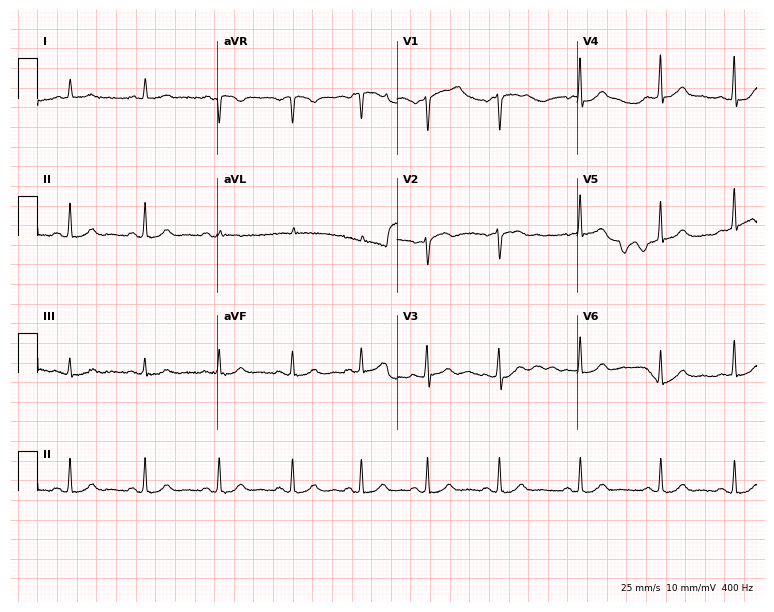
12-lead ECG from a female, 29 years old (7.3-second recording at 400 Hz). Recorded interpretation: within normal limits.